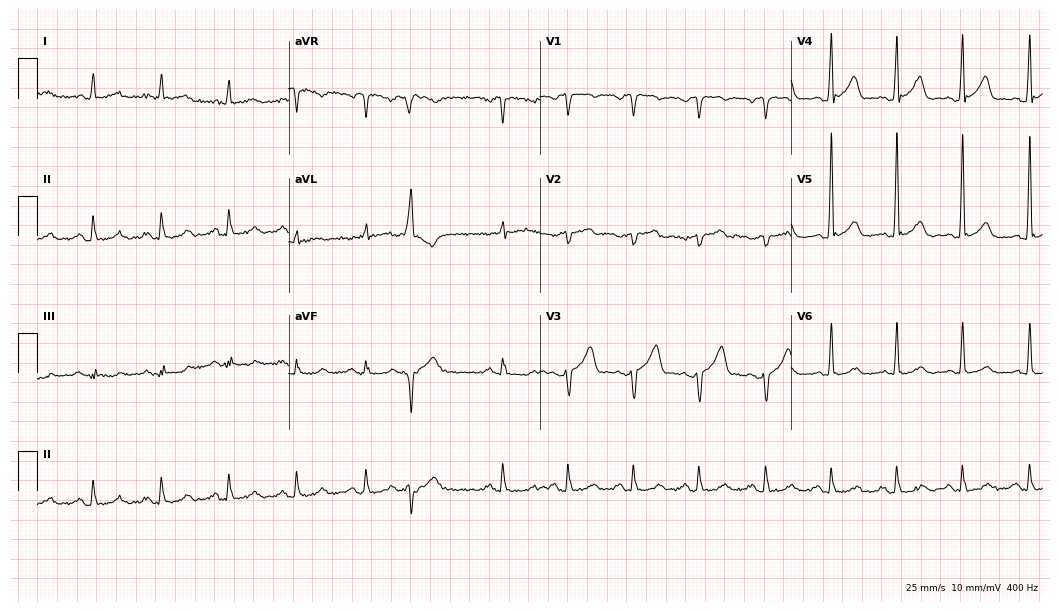
12-lead ECG from a 63-year-old male patient (10.2-second recording at 400 Hz). No first-degree AV block, right bundle branch block, left bundle branch block, sinus bradycardia, atrial fibrillation or sinus tachycardia recorded for this tracing. Findings outside these six are not listed.